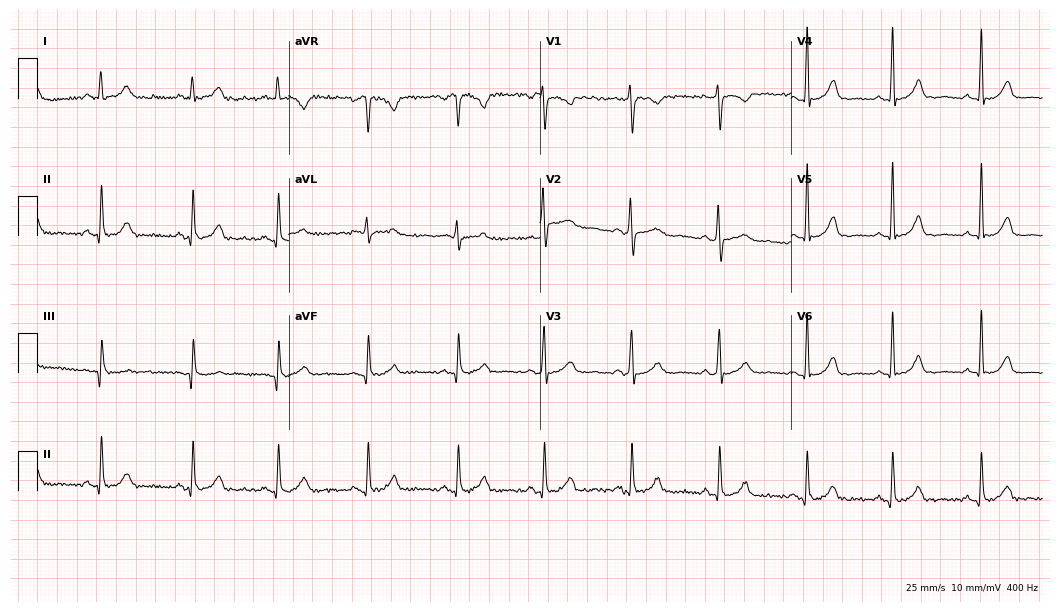
12-lead ECG from a female, 43 years old. Screened for six findings — first-degree AV block, right bundle branch block, left bundle branch block, sinus bradycardia, atrial fibrillation, sinus tachycardia — none is recorded. Other findings, if any, are not listed.